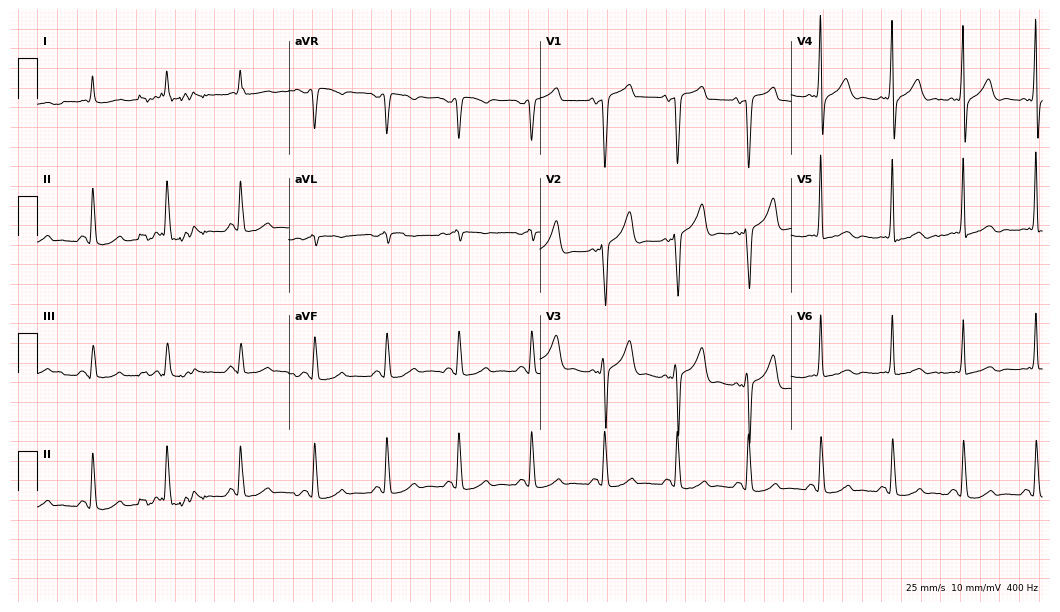
Resting 12-lead electrocardiogram. Patient: a male, 57 years old. Read as a normal ECG.